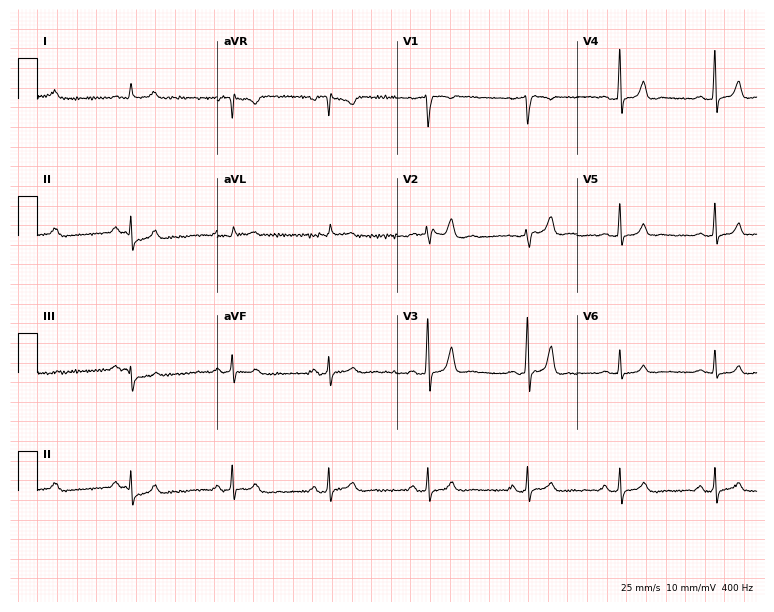
Standard 12-lead ECG recorded from a 37-year-old female patient (7.3-second recording at 400 Hz). Read as a normal ECG.